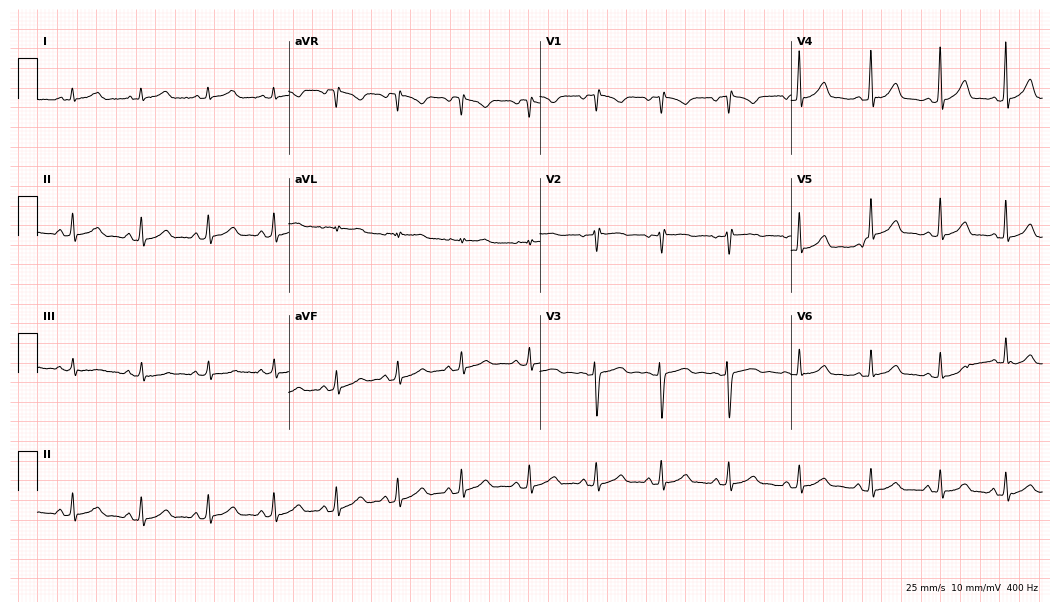
Electrocardiogram, a 26-year-old female. Of the six screened findings (first-degree AV block, right bundle branch block (RBBB), left bundle branch block (LBBB), sinus bradycardia, atrial fibrillation (AF), sinus tachycardia), none is recorded.